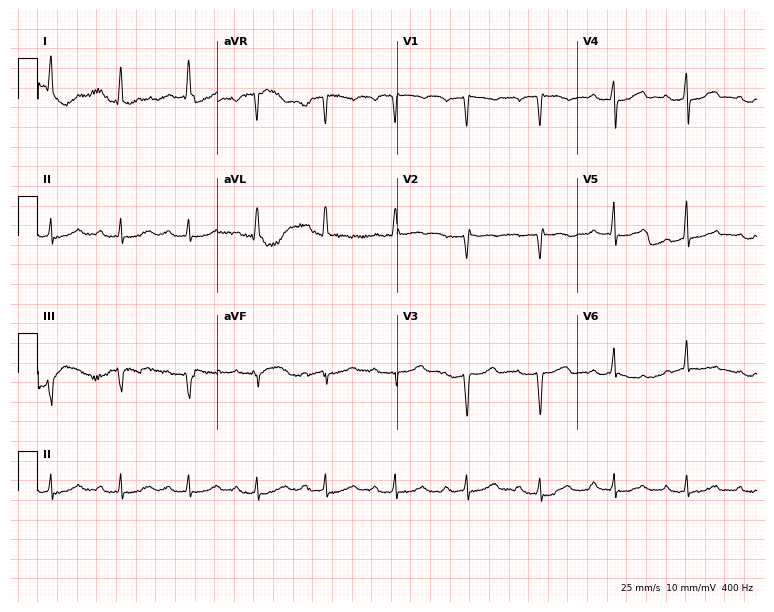
12-lead ECG from a 56-year-old female patient. Screened for six findings — first-degree AV block, right bundle branch block (RBBB), left bundle branch block (LBBB), sinus bradycardia, atrial fibrillation (AF), sinus tachycardia — none is recorded.